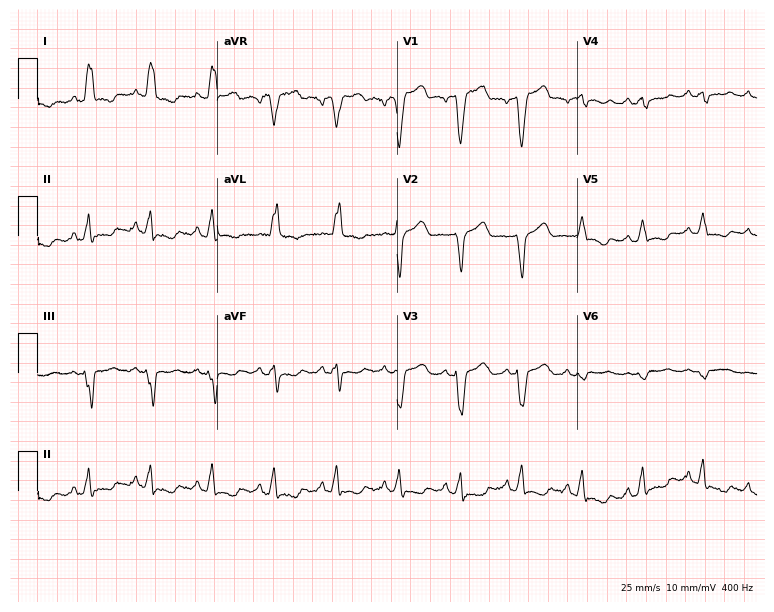
ECG (7.3-second recording at 400 Hz) — a female, 66 years old. Findings include left bundle branch block.